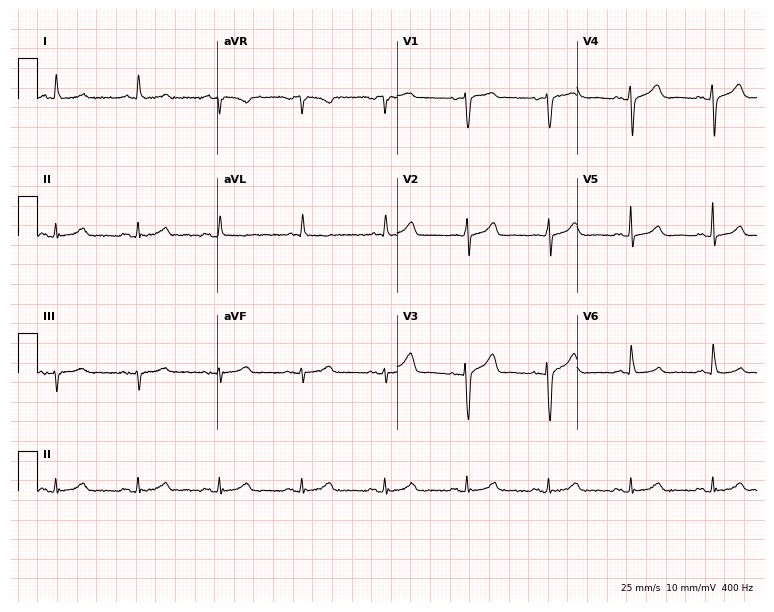
Electrocardiogram, a female patient, 81 years old. Overall reading on record: normal ECG.